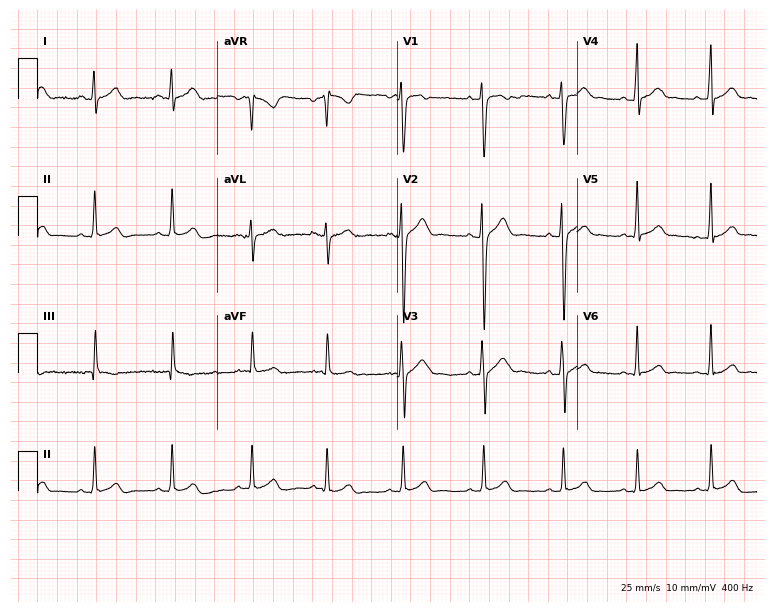
12-lead ECG from a male patient, 22 years old (7.3-second recording at 400 Hz). Recorded interpretation: within normal limits.